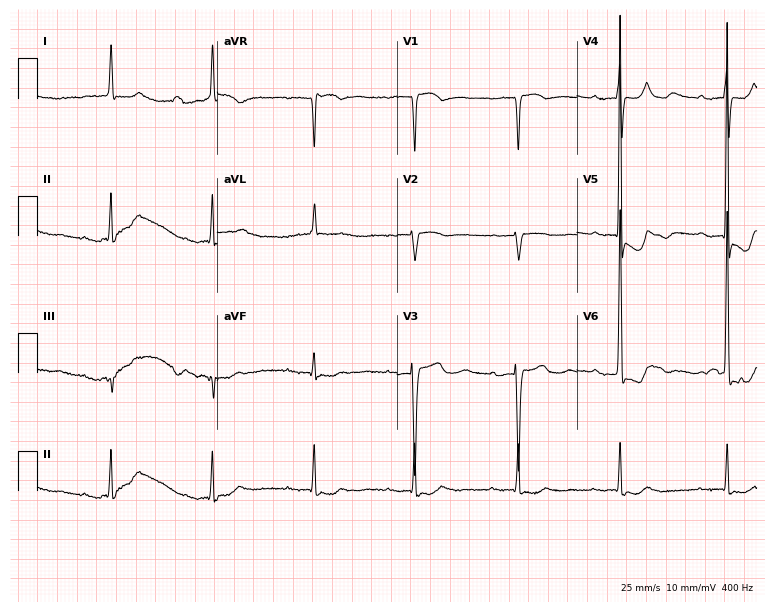
12-lead ECG from a female patient, 83 years old. Findings include first-degree AV block.